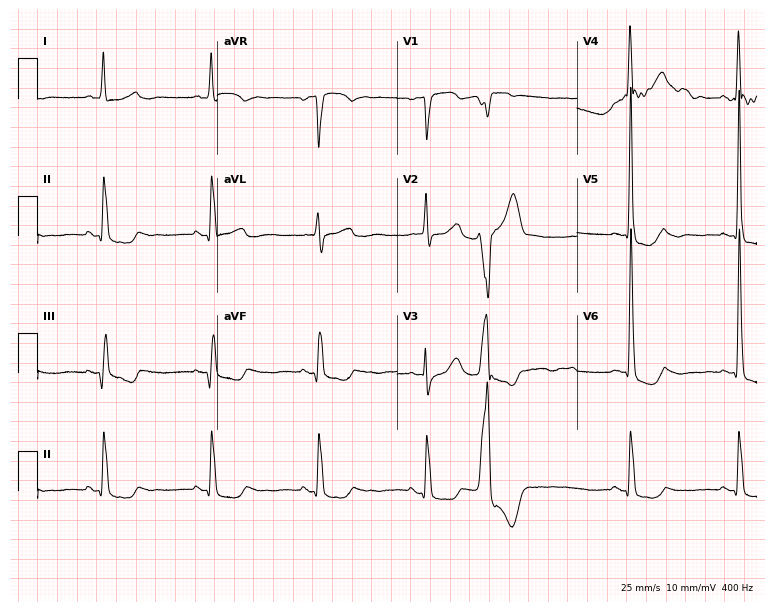
12-lead ECG (7.3-second recording at 400 Hz) from an 81-year-old man. Screened for six findings — first-degree AV block, right bundle branch block, left bundle branch block, sinus bradycardia, atrial fibrillation, sinus tachycardia — none is recorded.